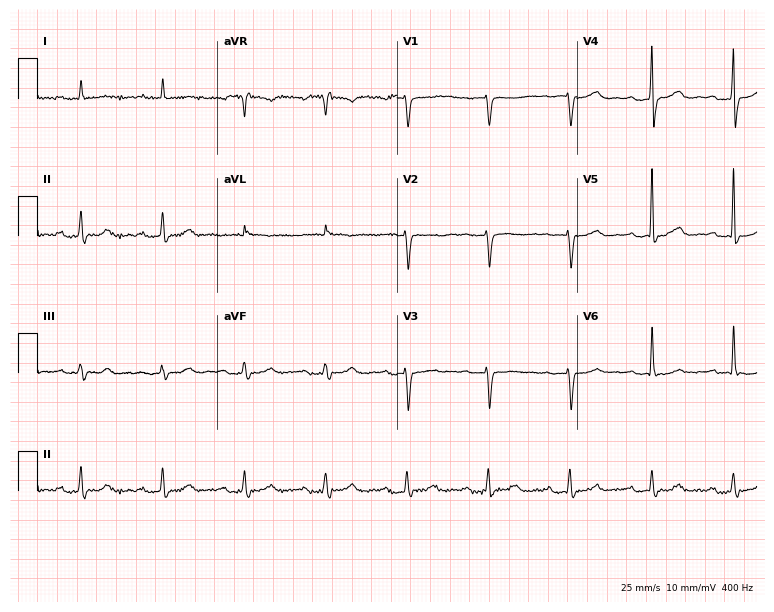
Electrocardiogram (7.3-second recording at 400 Hz), a female, 81 years old. Interpretation includes first-degree AV block.